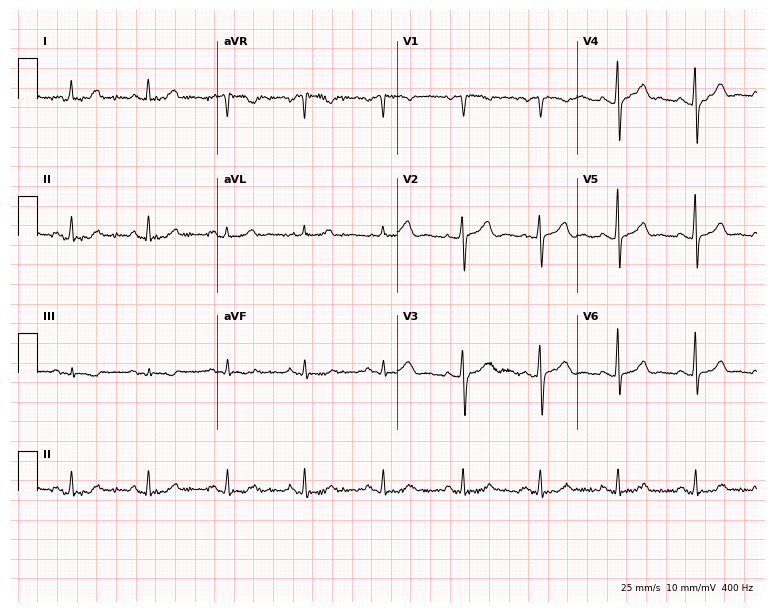
12-lead ECG from a 46-year-old woman. Recorded interpretation: within normal limits.